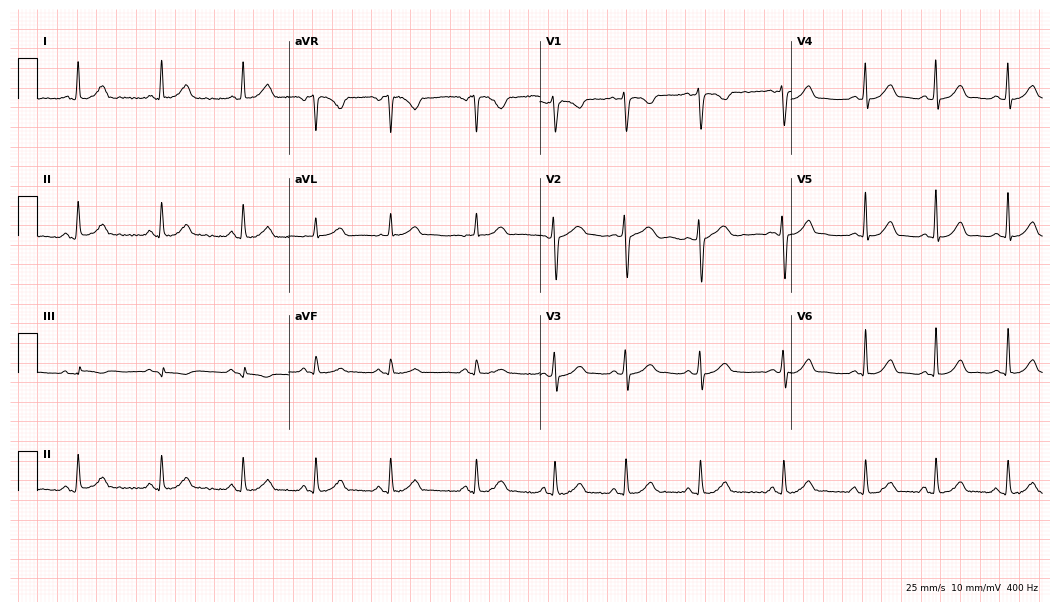
Electrocardiogram, a woman, 29 years old. Overall reading on record: normal ECG.